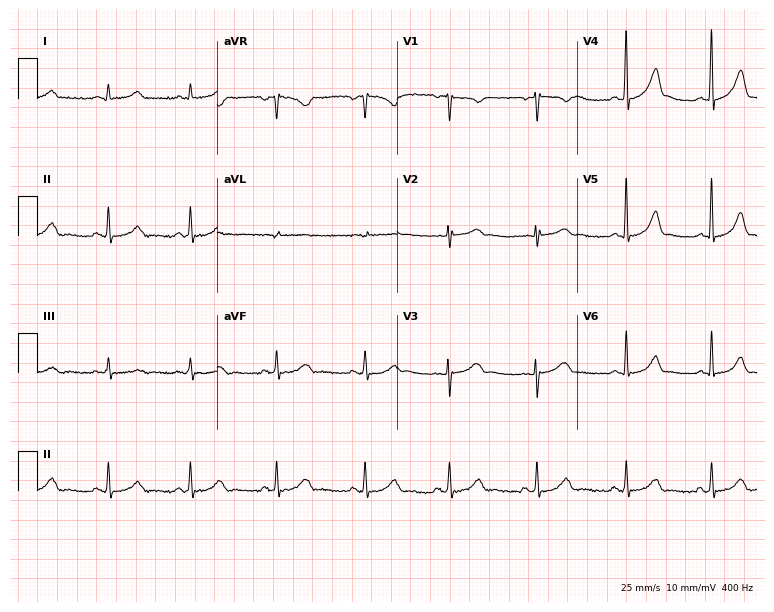
Electrocardiogram, a 25-year-old woman. Overall reading on record: normal ECG.